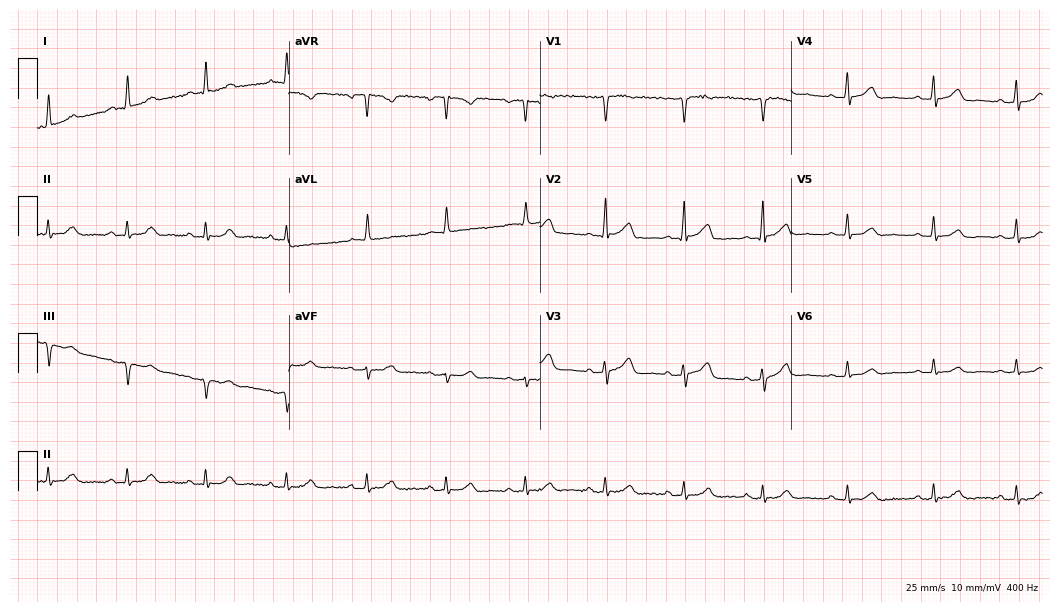
Electrocardiogram, a man, 65 years old. Overall reading on record: normal ECG.